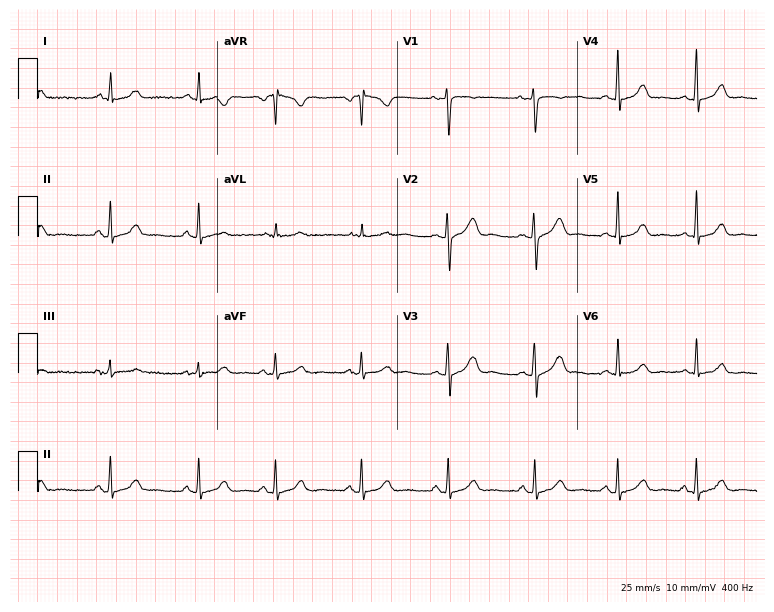
Resting 12-lead electrocardiogram (7.3-second recording at 400 Hz). Patient: a female, 22 years old. Read as a normal ECG.